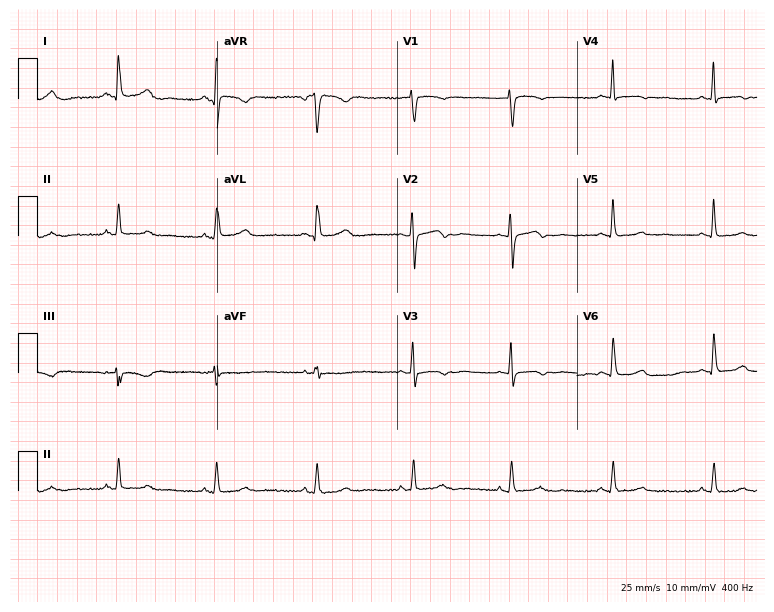
Resting 12-lead electrocardiogram (7.3-second recording at 400 Hz). Patient: a 61-year-old woman. Read as a normal ECG.